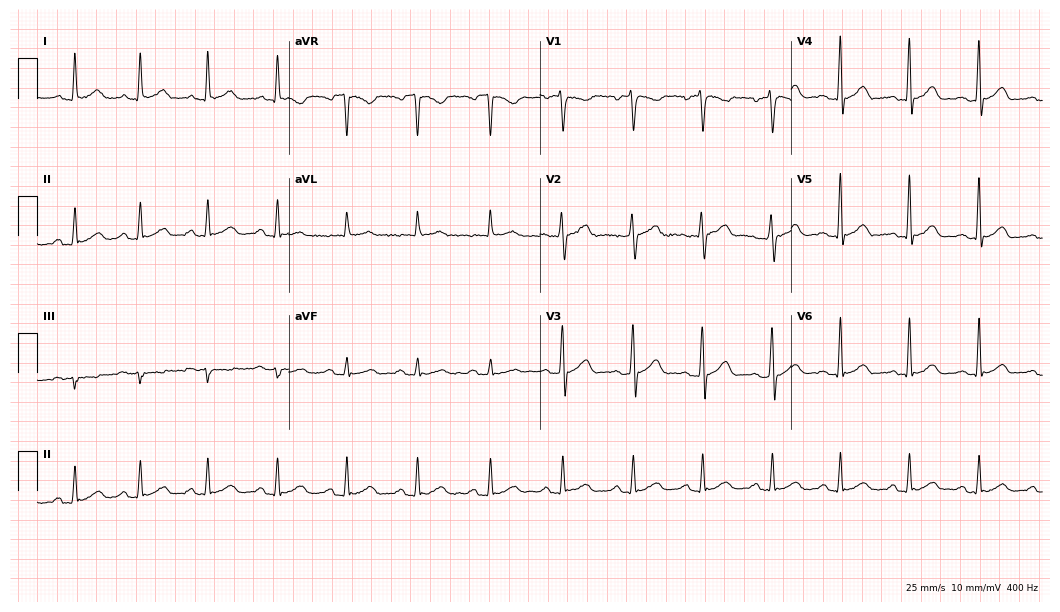
12-lead ECG from a 39-year-old female patient (10.2-second recording at 400 Hz). Recorded interpretation: within normal limits.